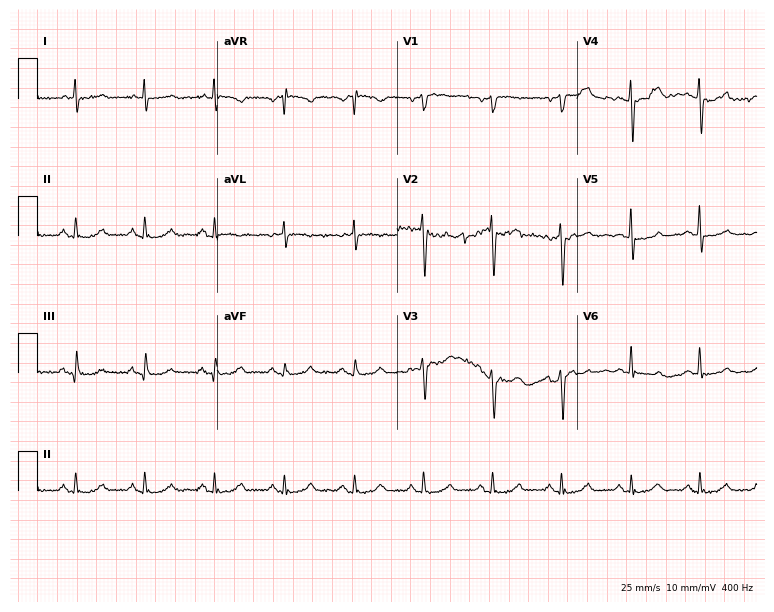
Resting 12-lead electrocardiogram. Patient: a man, 66 years old. Read as a normal ECG.